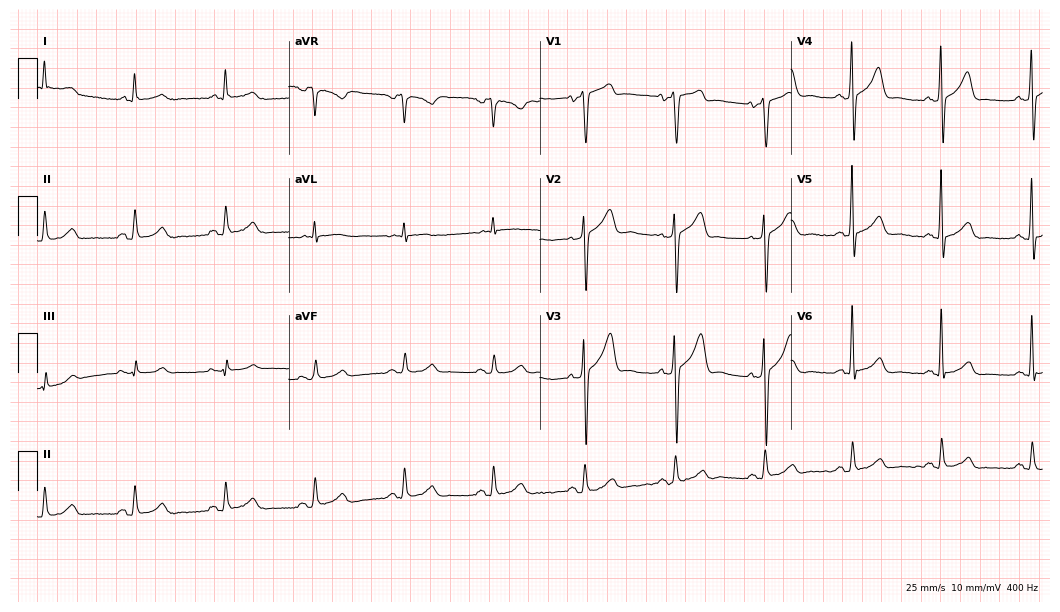
Electrocardiogram (10.2-second recording at 400 Hz), a 65-year-old man. Of the six screened findings (first-degree AV block, right bundle branch block, left bundle branch block, sinus bradycardia, atrial fibrillation, sinus tachycardia), none is recorded.